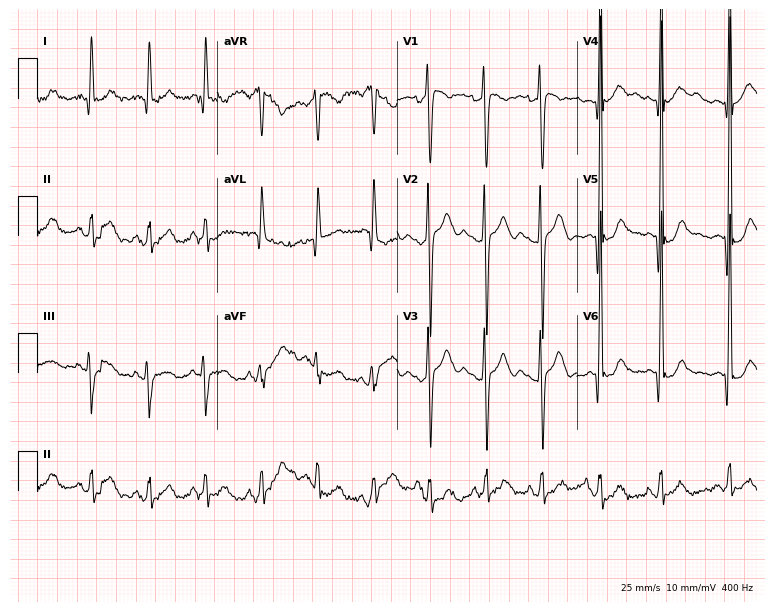
Resting 12-lead electrocardiogram. Patient: a male, 28 years old. The tracing shows sinus tachycardia (a sinus rate of 100 beats per minute or more).